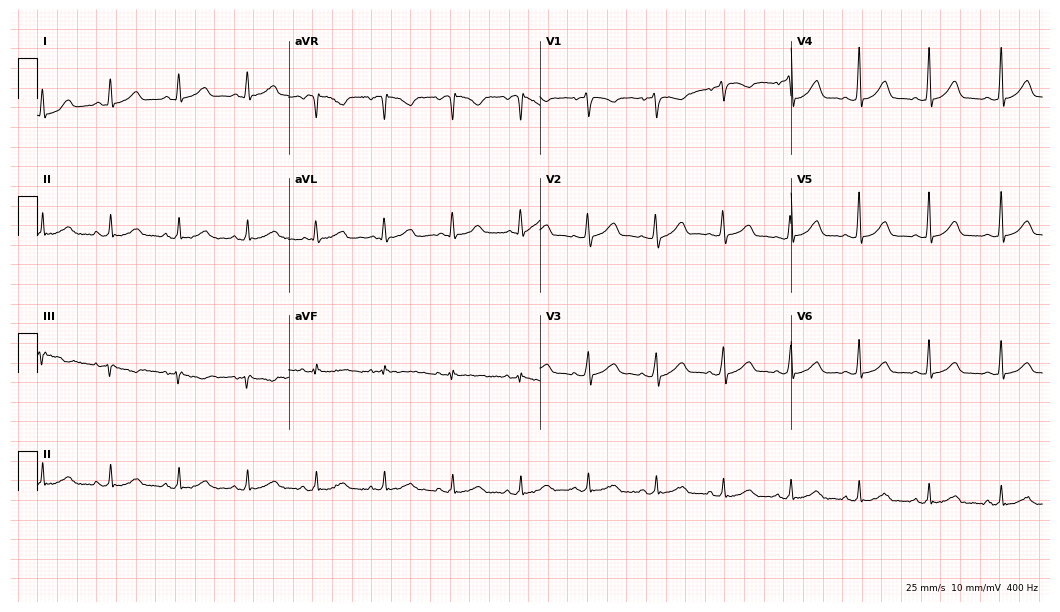
Resting 12-lead electrocardiogram (10.2-second recording at 400 Hz). Patient: a 40-year-old female. None of these six findings is recorded: first-degree AV block, right bundle branch block, left bundle branch block, sinus bradycardia, atrial fibrillation, sinus tachycardia. Other findings, if any, are not listed.